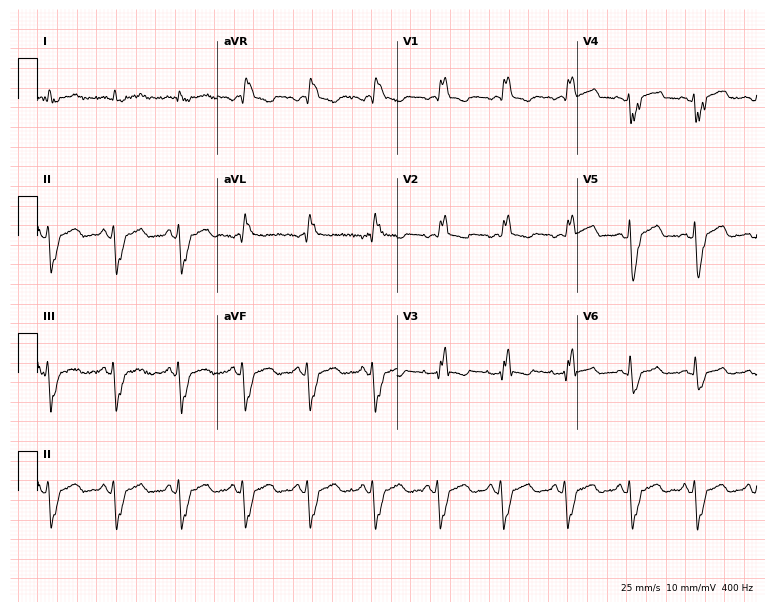
Standard 12-lead ECG recorded from a 60-year-old male patient (7.3-second recording at 400 Hz). The tracing shows right bundle branch block.